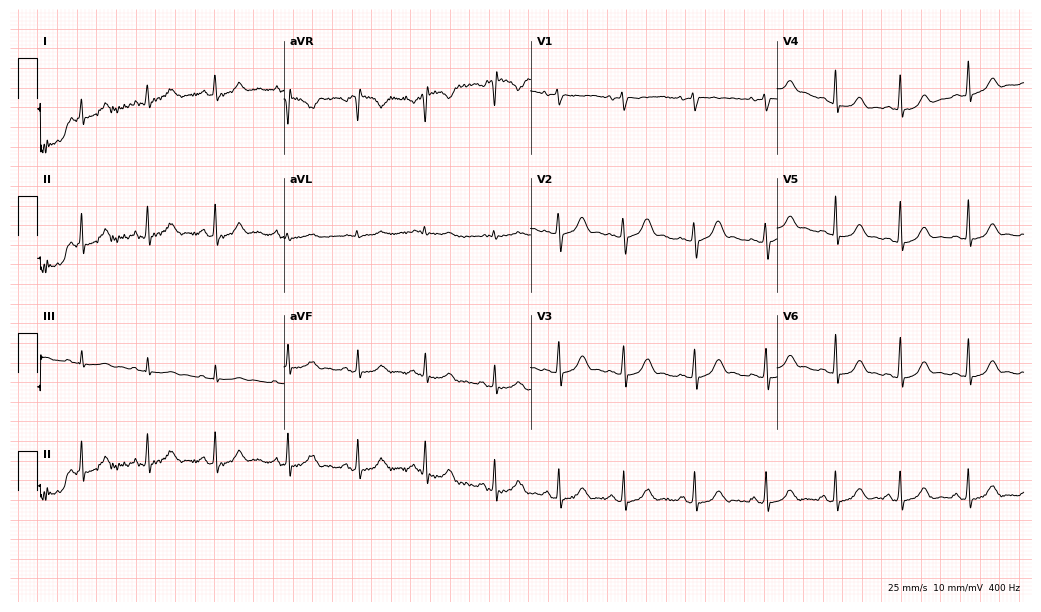
Resting 12-lead electrocardiogram (10.1-second recording at 400 Hz). Patient: a female, 20 years old. Read as a normal ECG.